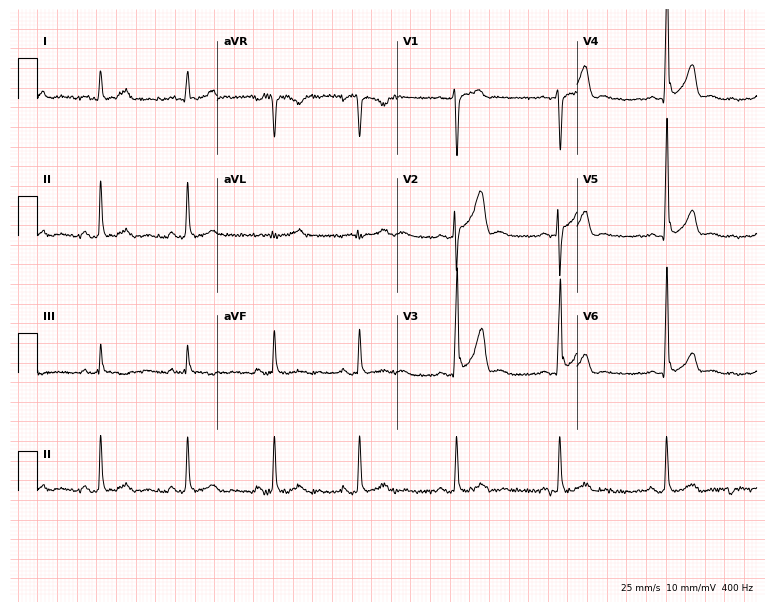
Standard 12-lead ECG recorded from a male patient, 39 years old (7.3-second recording at 400 Hz). None of these six findings is recorded: first-degree AV block, right bundle branch block, left bundle branch block, sinus bradycardia, atrial fibrillation, sinus tachycardia.